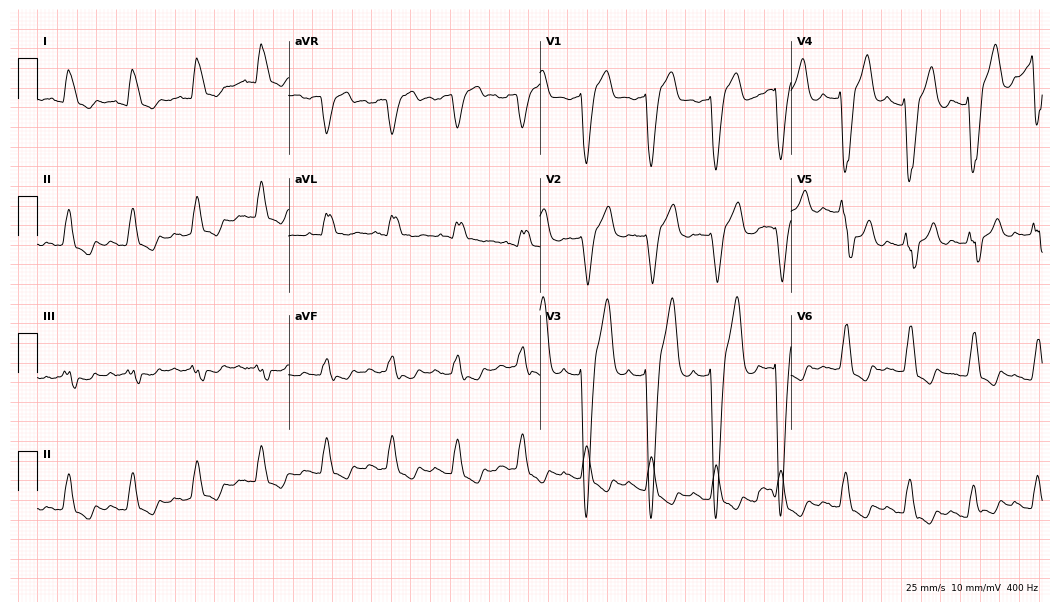
Electrocardiogram (10.2-second recording at 400 Hz), a 67-year-old male patient. Of the six screened findings (first-degree AV block, right bundle branch block (RBBB), left bundle branch block (LBBB), sinus bradycardia, atrial fibrillation (AF), sinus tachycardia), none is recorded.